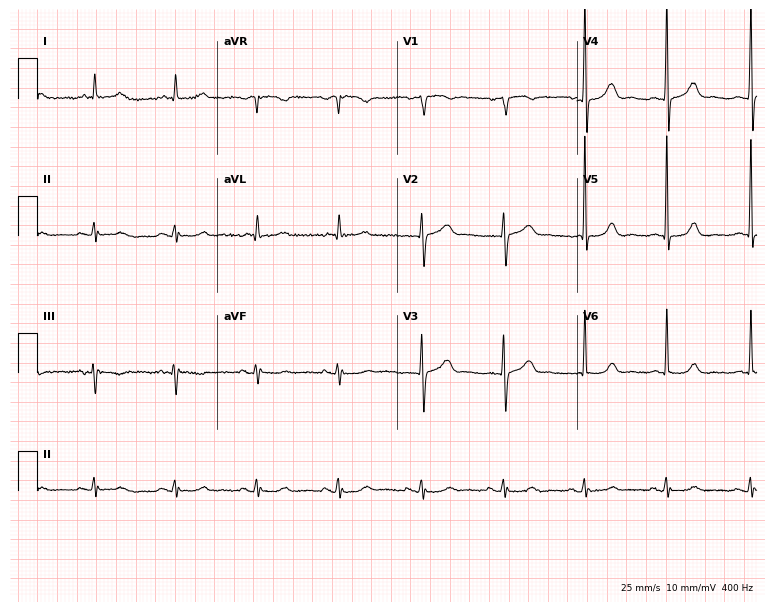
Resting 12-lead electrocardiogram. Patient: a 75-year-old female. None of these six findings is recorded: first-degree AV block, right bundle branch block, left bundle branch block, sinus bradycardia, atrial fibrillation, sinus tachycardia.